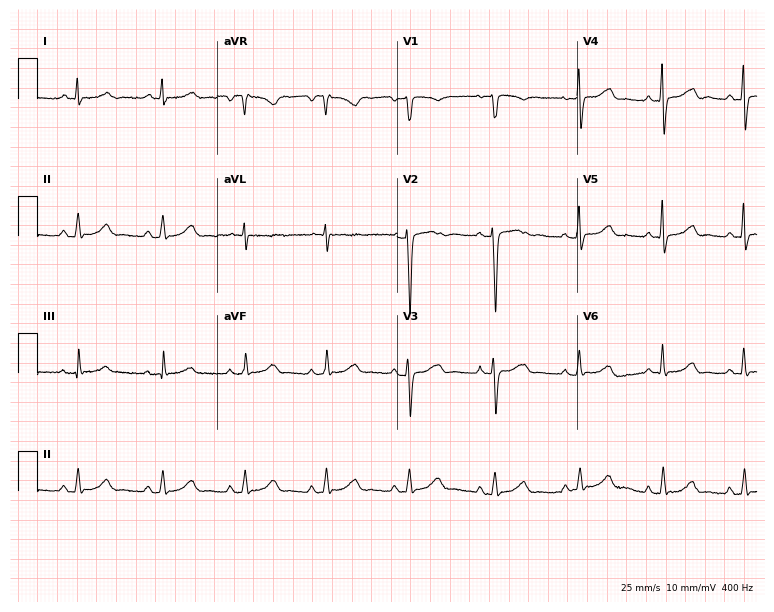
12-lead ECG from a 70-year-old female. Recorded interpretation: within normal limits.